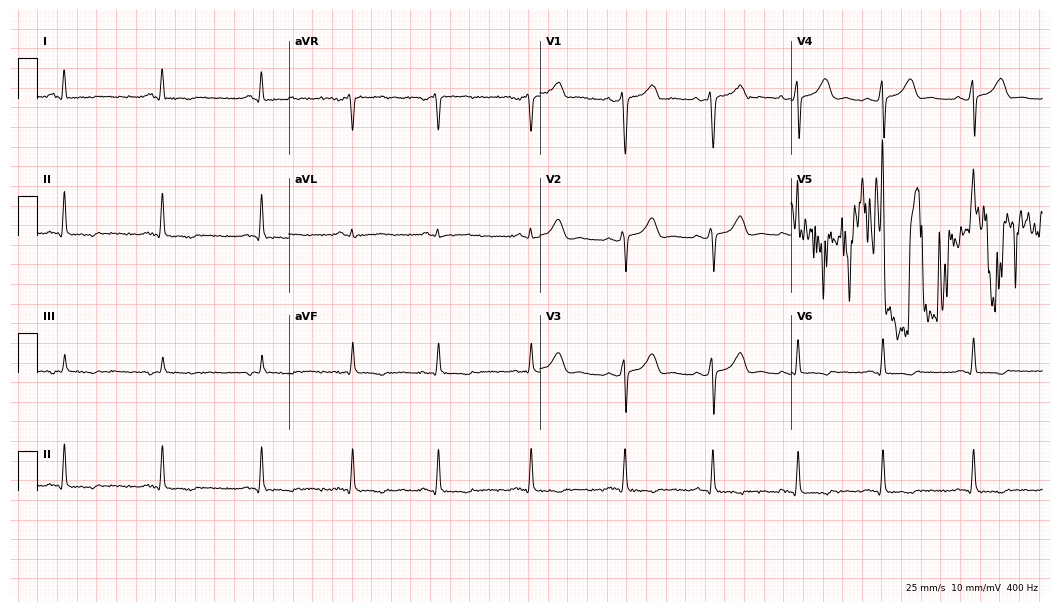
Electrocardiogram (10.2-second recording at 400 Hz), a female, 40 years old. Of the six screened findings (first-degree AV block, right bundle branch block, left bundle branch block, sinus bradycardia, atrial fibrillation, sinus tachycardia), none is recorded. Other findings, if any, are not listed.